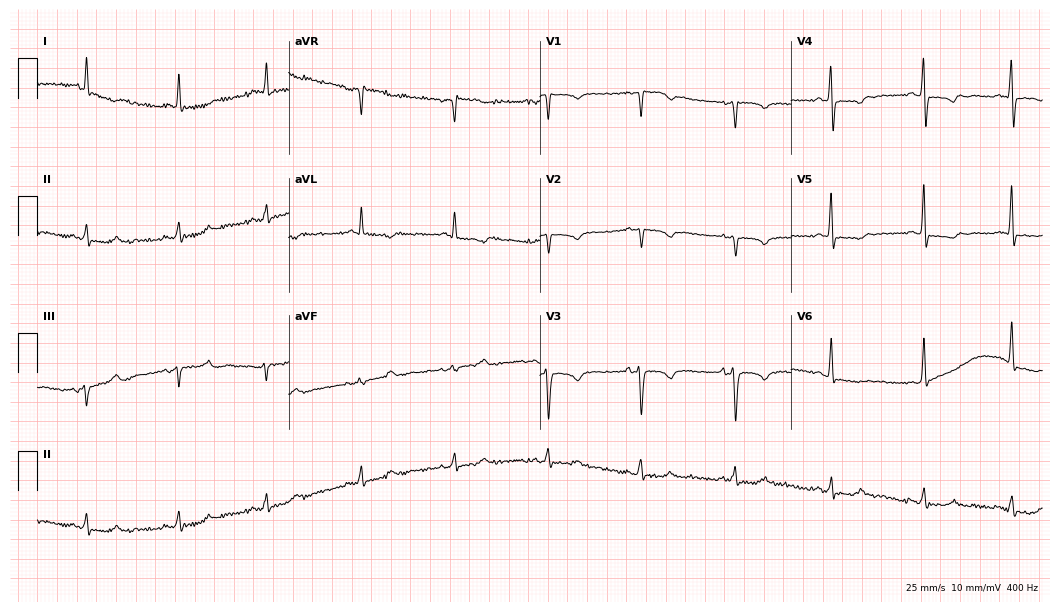
ECG — a 55-year-old woman. Screened for six findings — first-degree AV block, right bundle branch block (RBBB), left bundle branch block (LBBB), sinus bradycardia, atrial fibrillation (AF), sinus tachycardia — none is recorded.